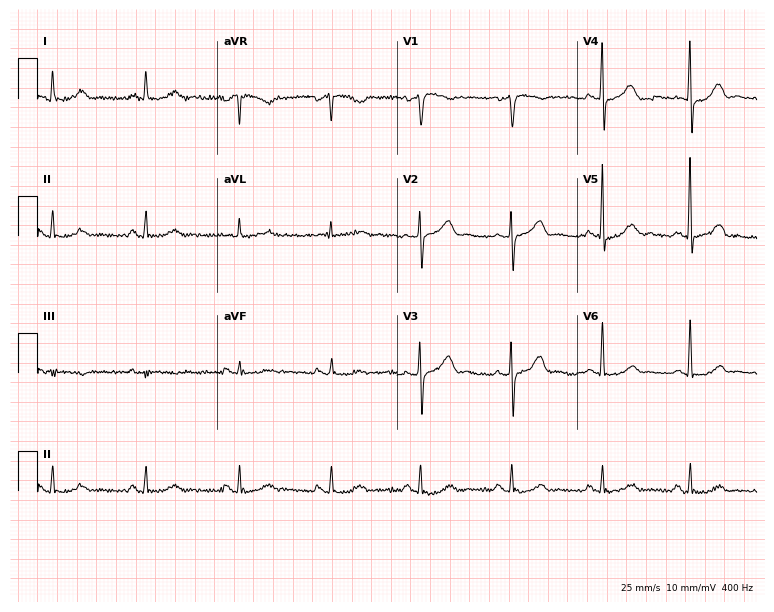
Electrocardiogram, a 63-year-old female patient. Overall reading on record: normal ECG.